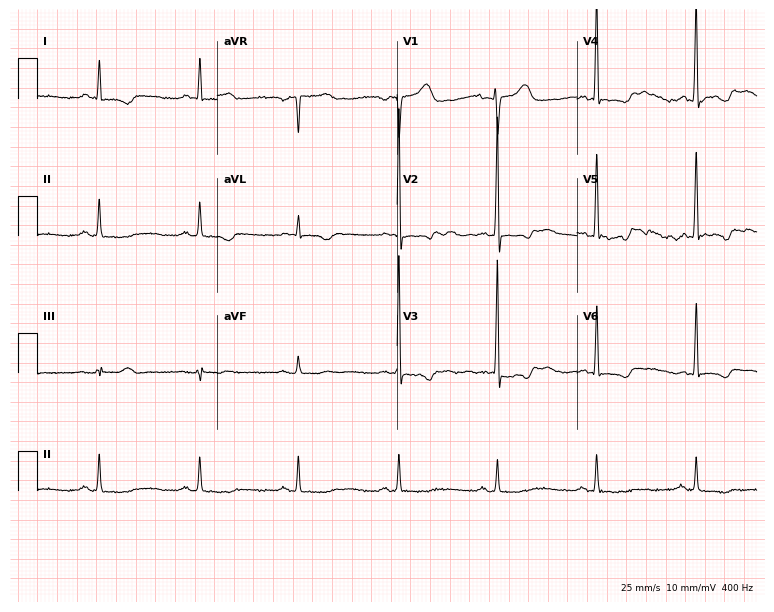
ECG — a man, 67 years old. Screened for six findings — first-degree AV block, right bundle branch block (RBBB), left bundle branch block (LBBB), sinus bradycardia, atrial fibrillation (AF), sinus tachycardia — none is recorded. Other findings, if any, are not listed.